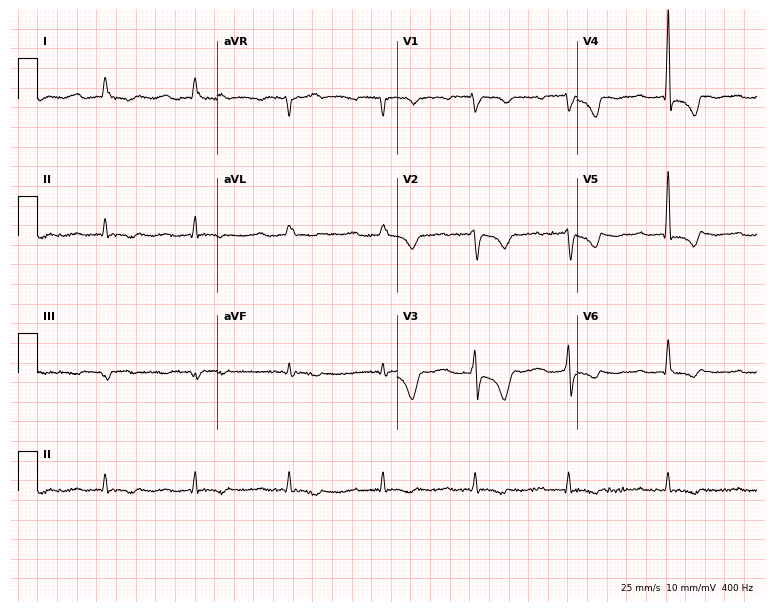
ECG (7.3-second recording at 400 Hz) — a 77-year-old man. Findings include first-degree AV block.